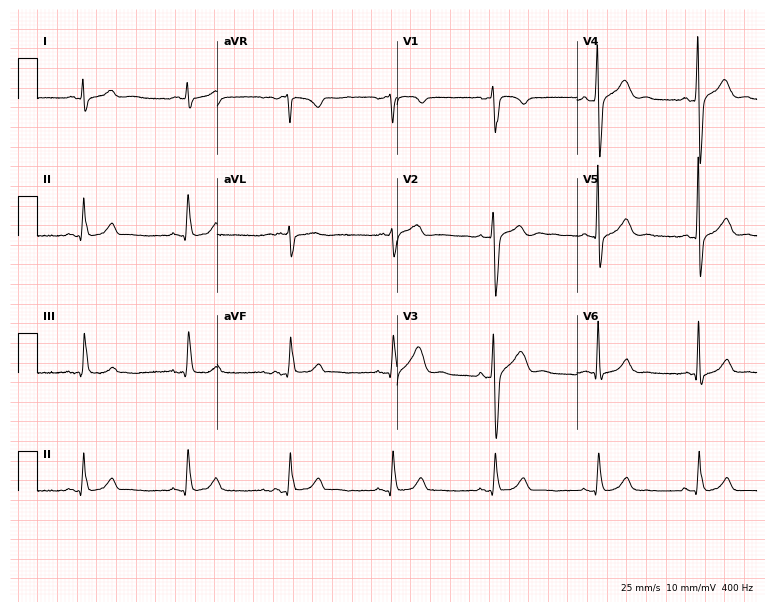
Standard 12-lead ECG recorded from a 48-year-old man (7.3-second recording at 400 Hz). Read as a normal ECG.